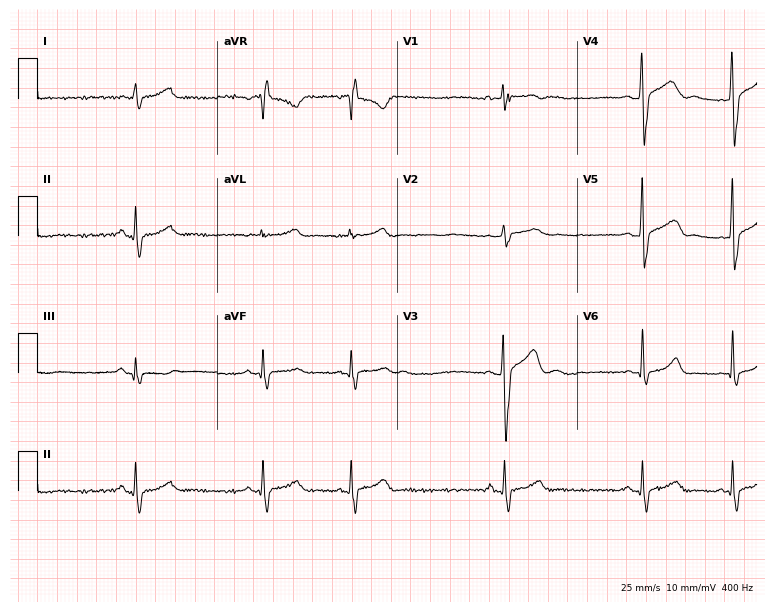
Electrocardiogram, a 22-year-old male. Interpretation includes sinus bradycardia (a sinus rate of 50 beats per minute or less), atrial fibrillation.